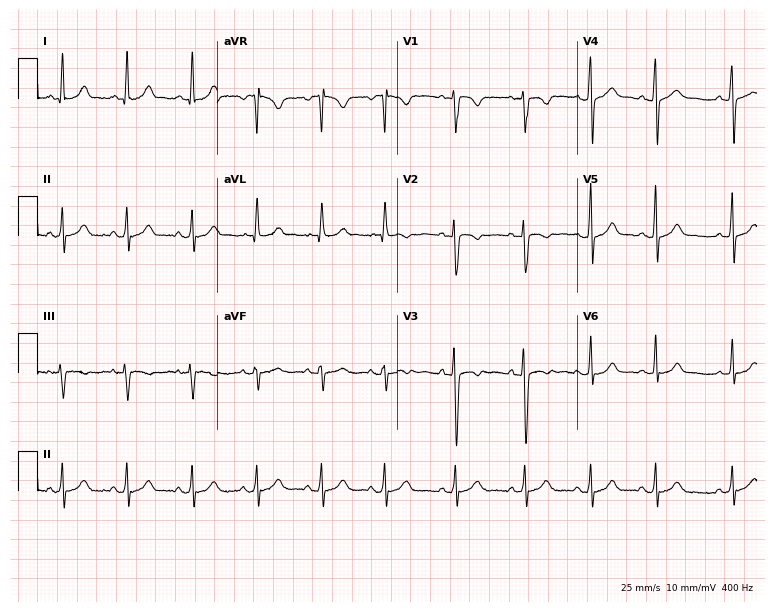
Electrocardiogram, a 23-year-old female patient. Of the six screened findings (first-degree AV block, right bundle branch block (RBBB), left bundle branch block (LBBB), sinus bradycardia, atrial fibrillation (AF), sinus tachycardia), none is recorded. Other findings, if any, are not listed.